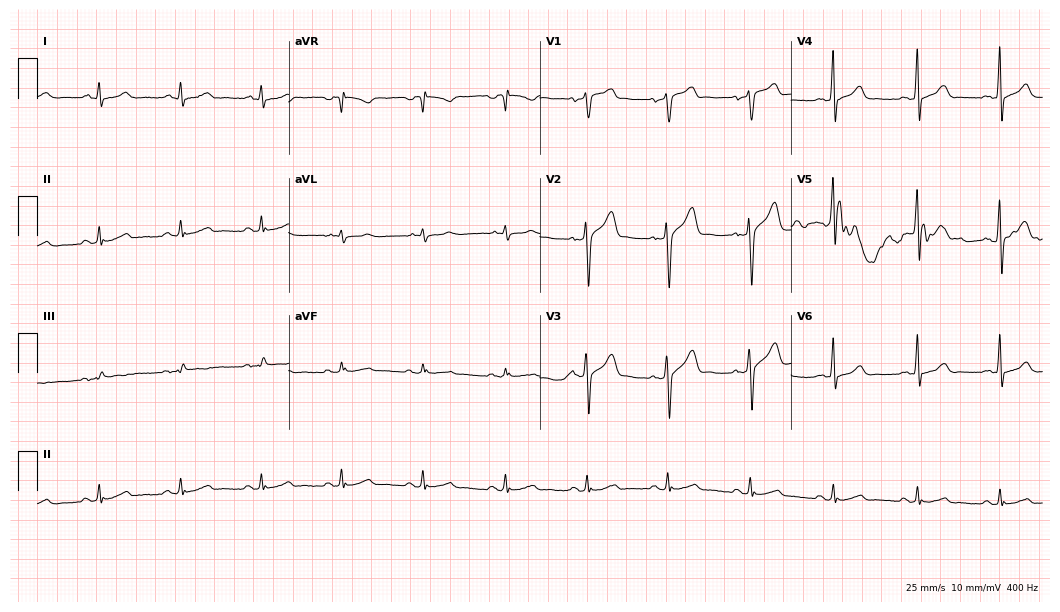
12-lead ECG from a 43-year-old male patient. Recorded interpretation: within normal limits.